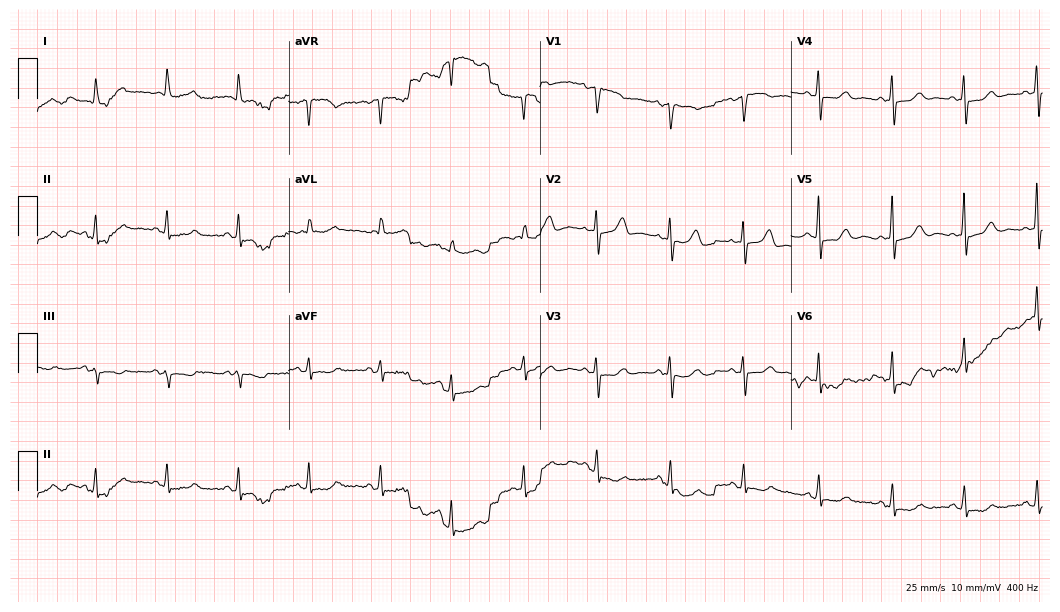
Resting 12-lead electrocardiogram. Patient: a 79-year-old woman. None of these six findings is recorded: first-degree AV block, right bundle branch block, left bundle branch block, sinus bradycardia, atrial fibrillation, sinus tachycardia. Only these six findings were labelled.